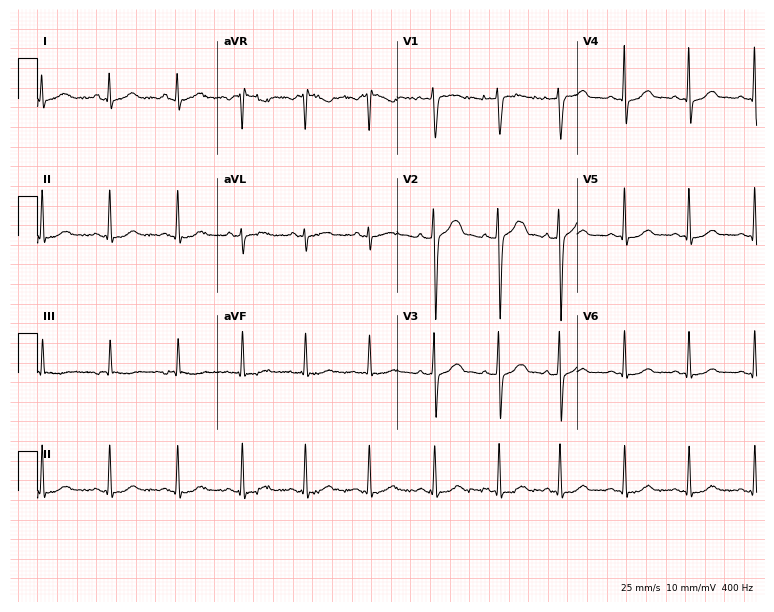
Standard 12-lead ECG recorded from a 22-year-old male. None of these six findings is recorded: first-degree AV block, right bundle branch block (RBBB), left bundle branch block (LBBB), sinus bradycardia, atrial fibrillation (AF), sinus tachycardia.